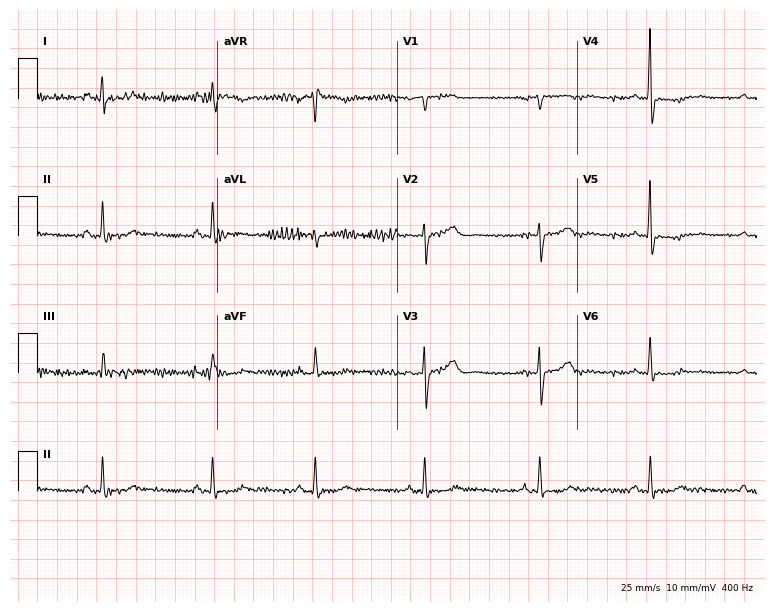
12-lead ECG from a woman, 68 years old (7.3-second recording at 400 Hz). Recorded interpretation: within normal limits.